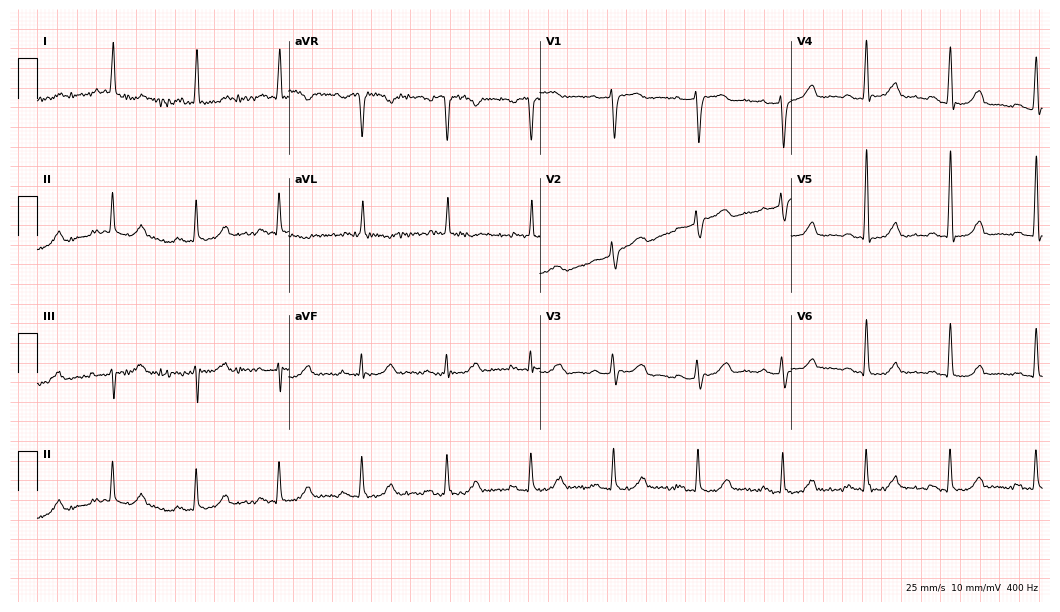
Resting 12-lead electrocardiogram. Patient: a female, 74 years old. Read as a normal ECG.